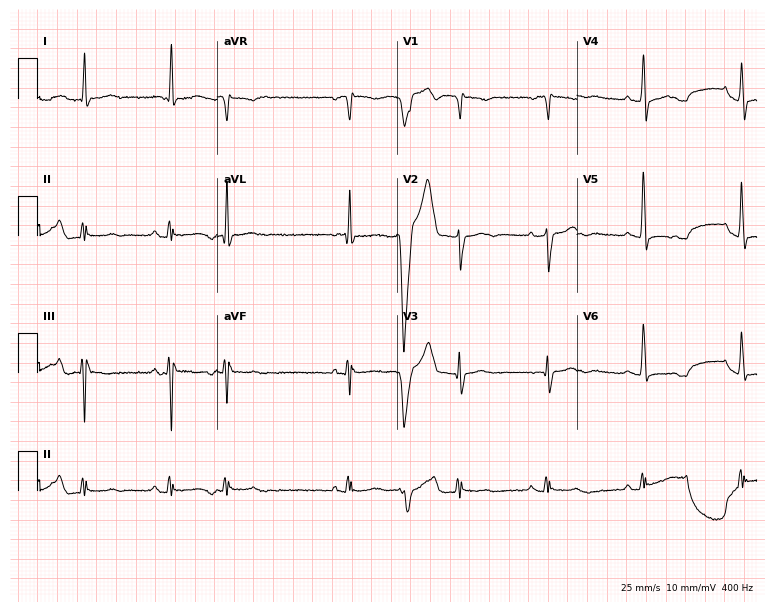
ECG — a 77-year-old male patient. Screened for six findings — first-degree AV block, right bundle branch block, left bundle branch block, sinus bradycardia, atrial fibrillation, sinus tachycardia — none is recorded.